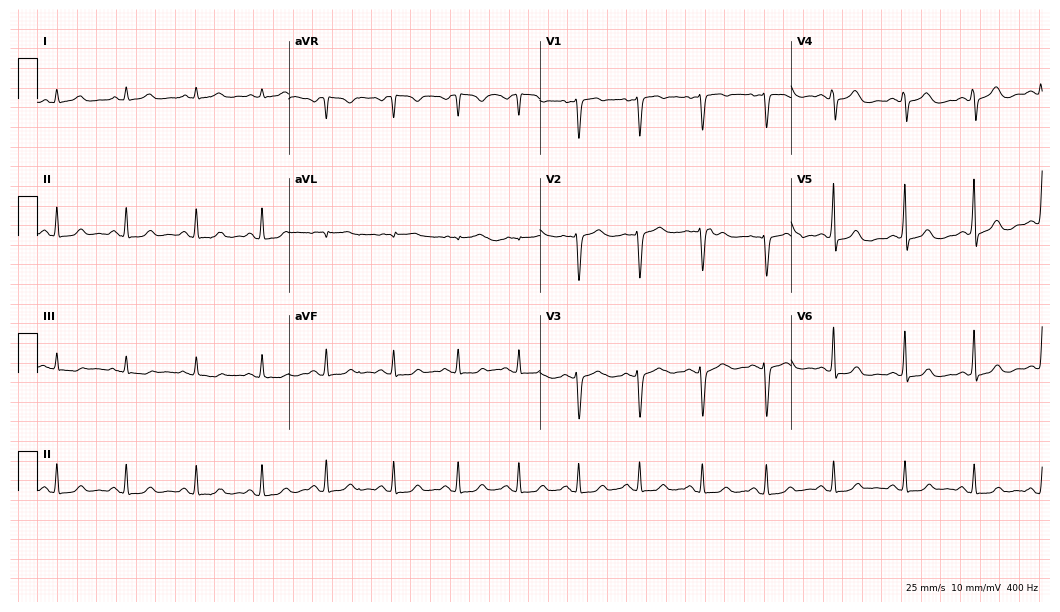
ECG — a 38-year-old female. Screened for six findings — first-degree AV block, right bundle branch block, left bundle branch block, sinus bradycardia, atrial fibrillation, sinus tachycardia — none is recorded. Findings outside these six are not listed.